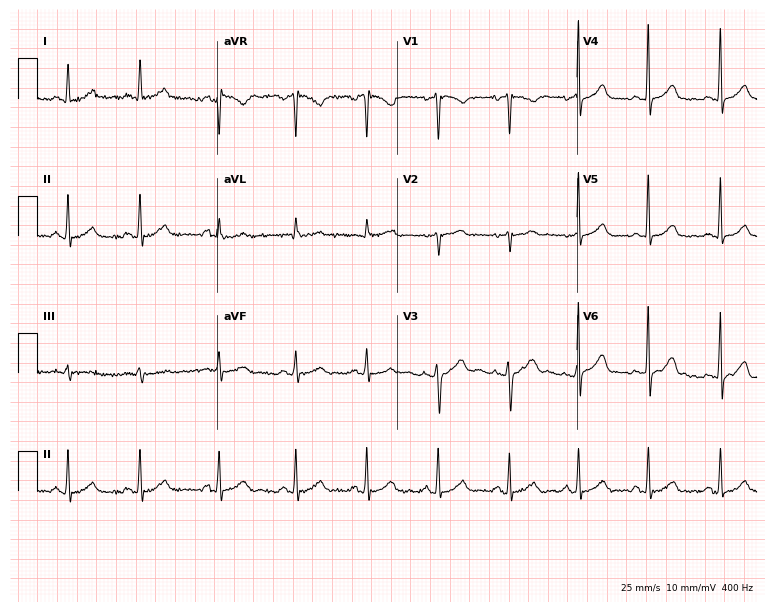
12-lead ECG from a female patient, 40 years old. Recorded interpretation: within normal limits.